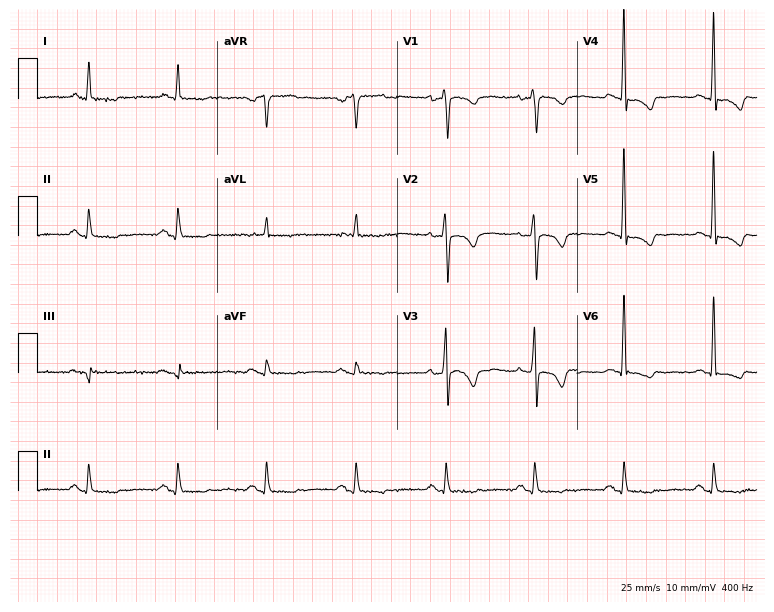
ECG — a 56-year-old male patient. Screened for six findings — first-degree AV block, right bundle branch block (RBBB), left bundle branch block (LBBB), sinus bradycardia, atrial fibrillation (AF), sinus tachycardia — none is recorded.